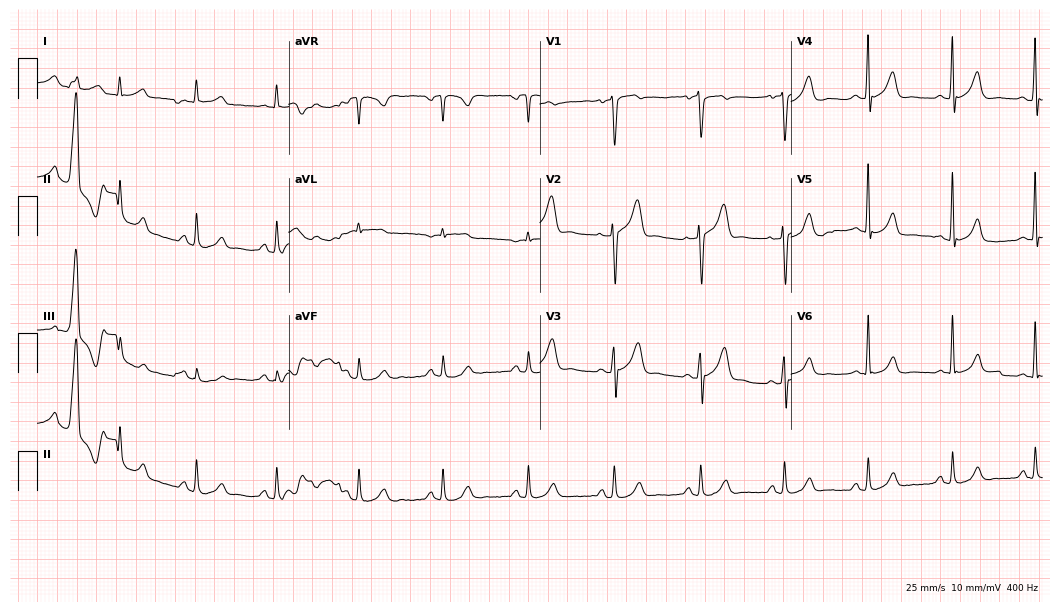
Resting 12-lead electrocardiogram. Patient: a man, 51 years old. None of these six findings is recorded: first-degree AV block, right bundle branch block (RBBB), left bundle branch block (LBBB), sinus bradycardia, atrial fibrillation (AF), sinus tachycardia. Findings outside these six are not listed.